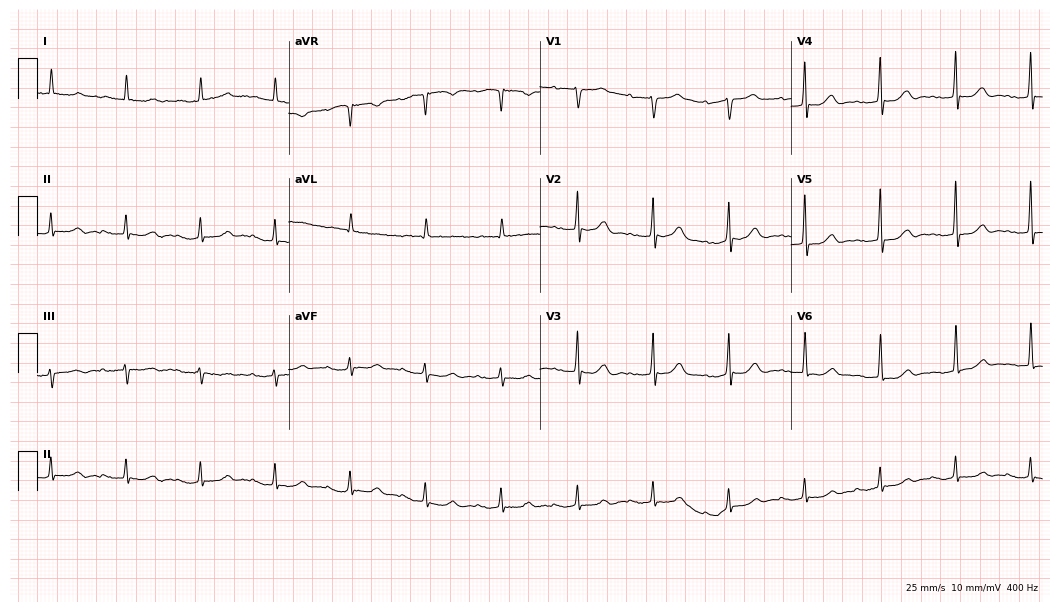
12-lead ECG (10.2-second recording at 400 Hz) from an 83-year-old female. Findings include first-degree AV block.